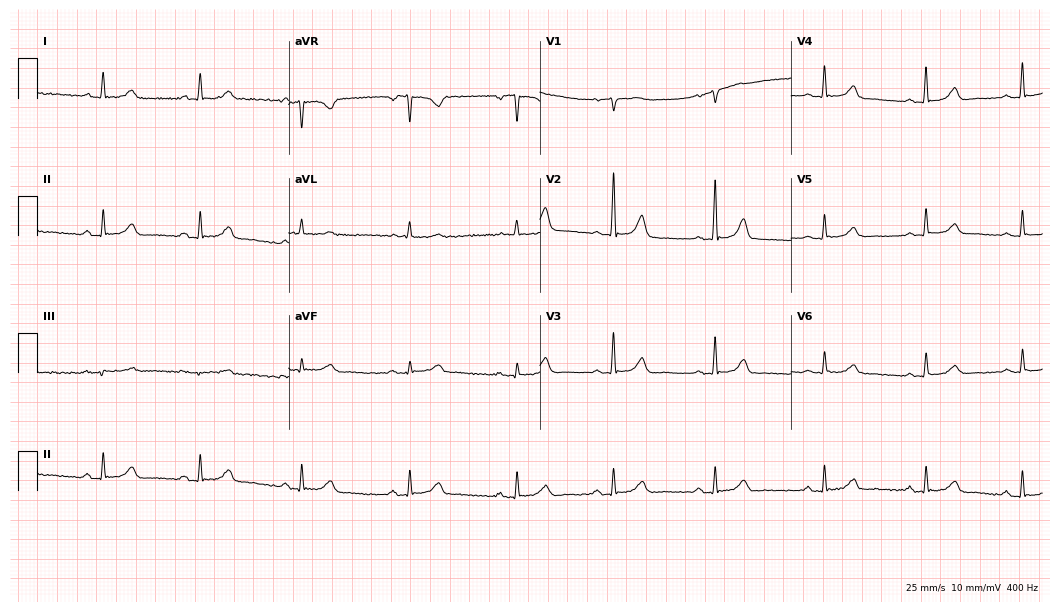
ECG (10.2-second recording at 400 Hz) — a female, 45 years old. Screened for six findings — first-degree AV block, right bundle branch block, left bundle branch block, sinus bradycardia, atrial fibrillation, sinus tachycardia — none is recorded.